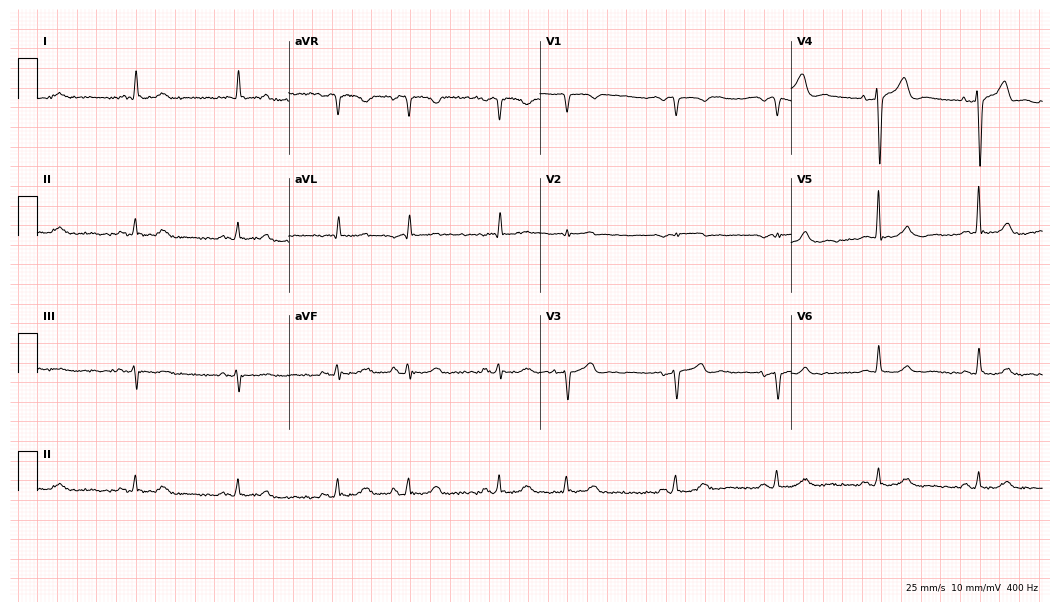
Resting 12-lead electrocardiogram (10.2-second recording at 400 Hz). Patient: a 69-year-old man. None of these six findings is recorded: first-degree AV block, right bundle branch block, left bundle branch block, sinus bradycardia, atrial fibrillation, sinus tachycardia. Other findings, if any, are not listed.